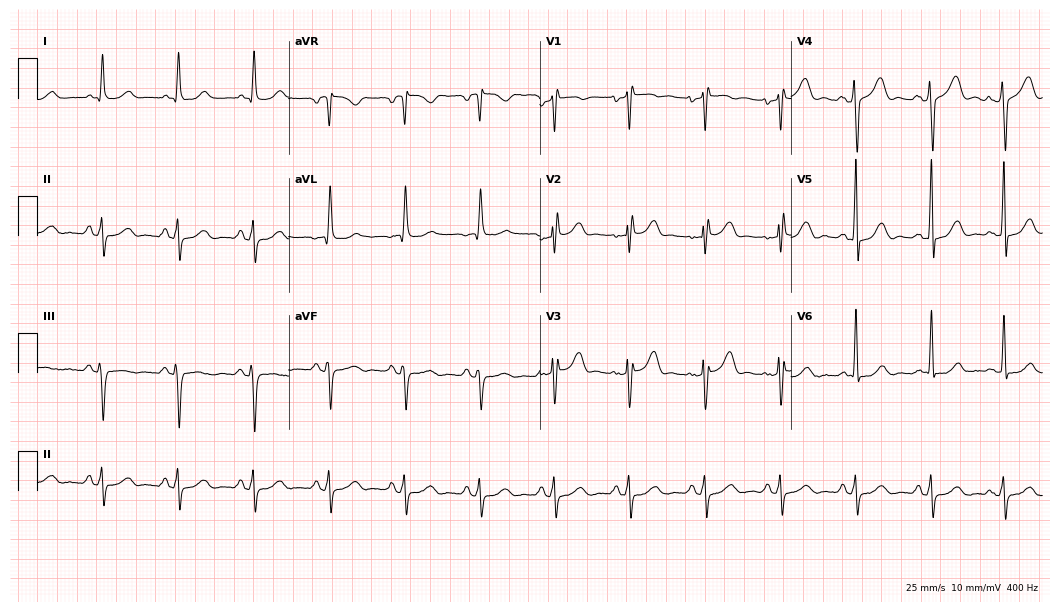
Resting 12-lead electrocardiogram. Patient: a 57-year-old man. None of these six findings is recorded: first-degree AV block, right bundle branch block (RBBB), left bundle branch block (LBBB), sinus bradycardia, atrial fibrillation (AF), sinus tachycardia. Other findings, if any, are not listed.